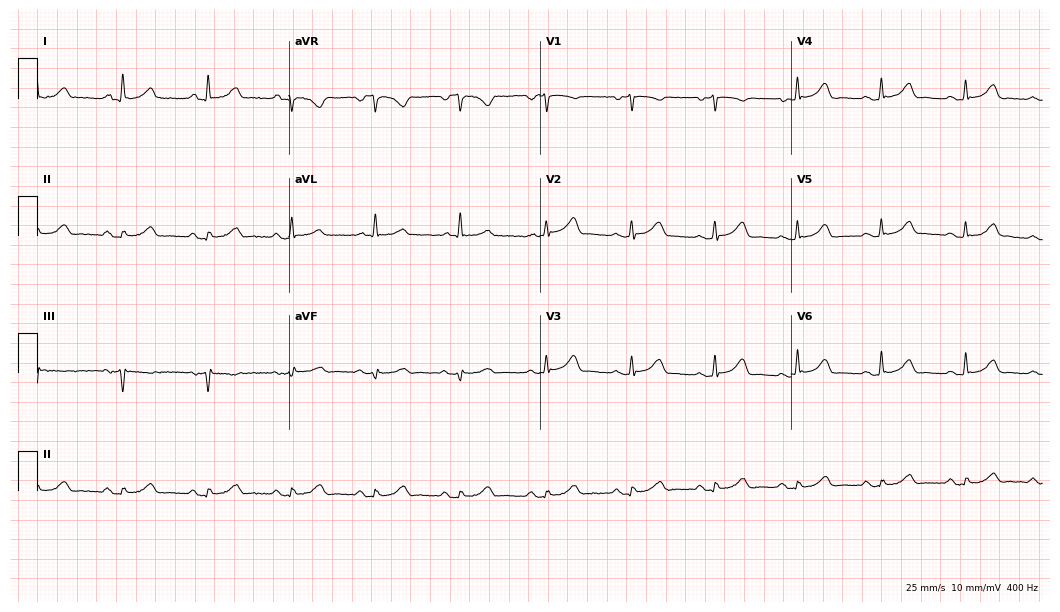
Resting 12-lead electrocardiogram (10.2-second recording at 400 Hz). Patient: a female, 66 years old. Read as a normal ECG.